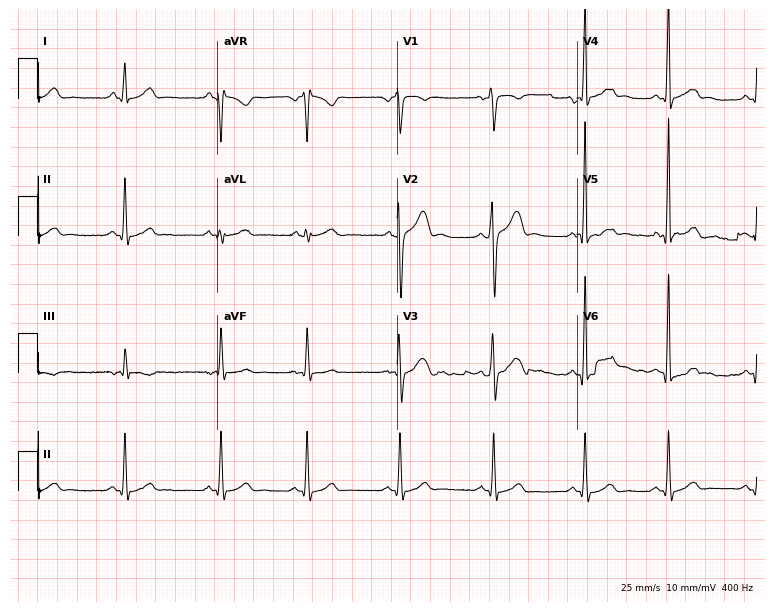
12-lead ECG from a man, 22 years old. Recorded interpretation: within normal limits.